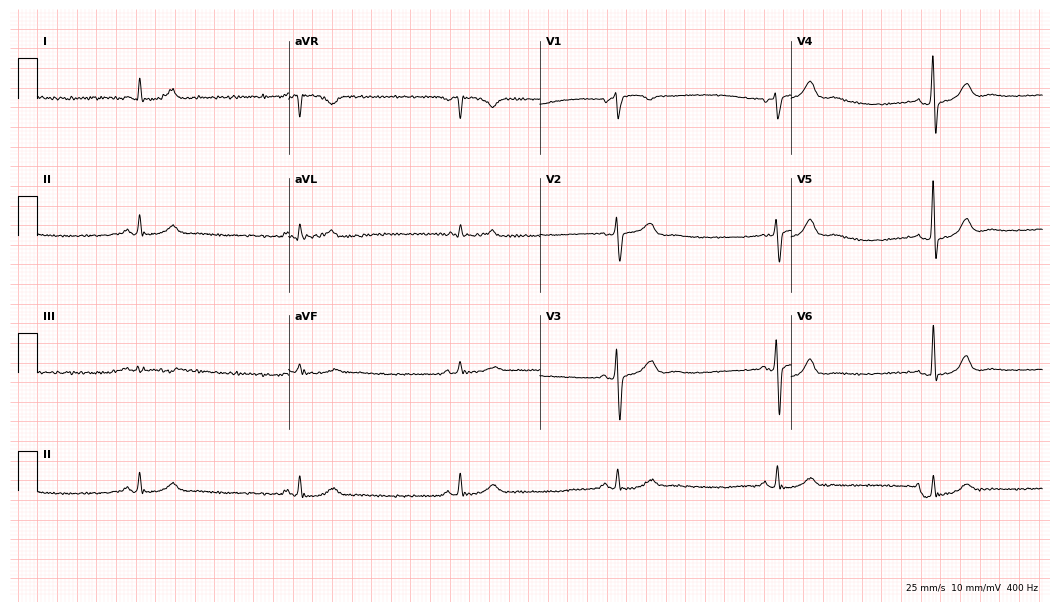
Standard 12-lead ECG recorded from a 70-year-old male (10.2-second recording at 400 Hz). None of these six findings is recorded: first-degree AV block, right bundle branch block, left bundle branch block, sinus bradycardia, atrial fibrillation, sinus tachycardia.